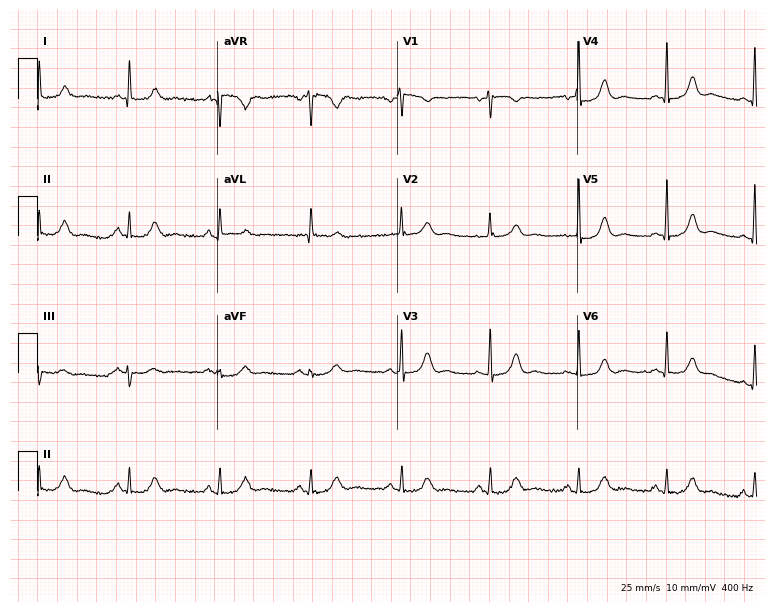
Electrocardiogram (7.3-second recording at 400 Hz), a female patient, 72 years old. Overall reading on record: normal ECG.